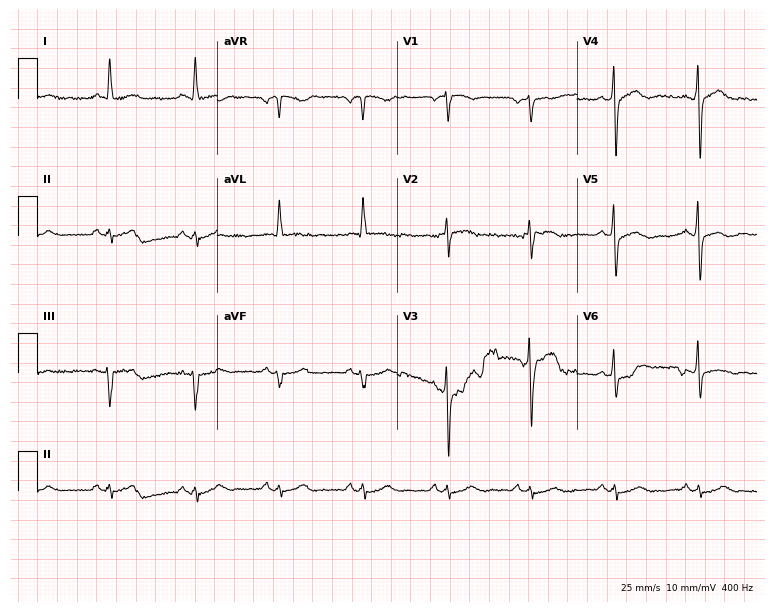
12-lead ECG (7.3-second recording at 400 Hz) from a 61-year-old man. Screened for six findings — first-degree AV block, right bundle branch block, left bundle branch block, sinus bradycardia, atrial fibrillation, sinus tachycardia — none is recorded.